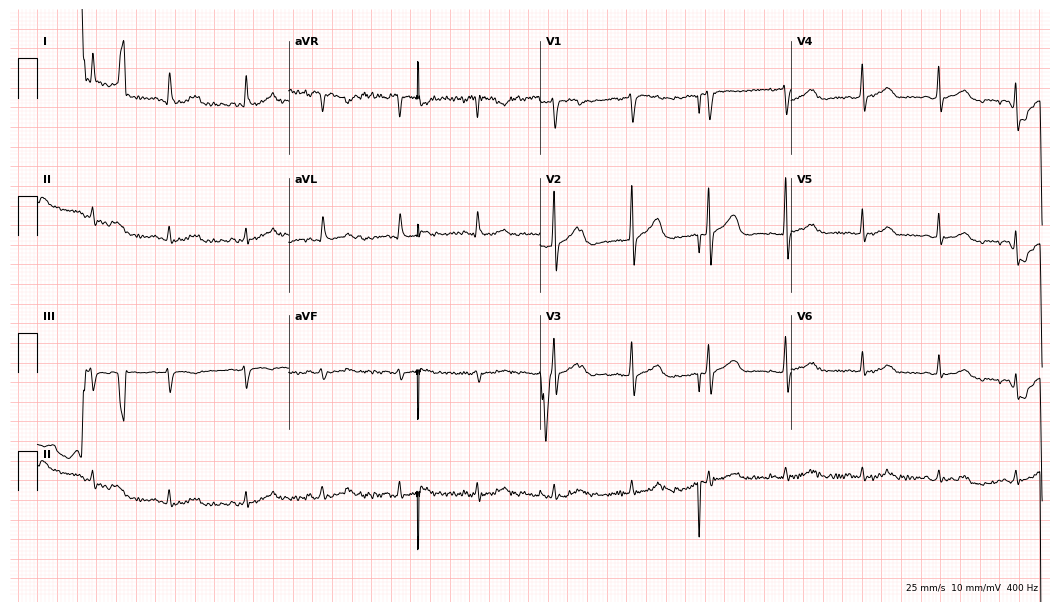
Resting 12-lead electrocardiogram. Patient: a man, 79 years old. None of these six findings is recorded: first-degree AV block, right bundle branch block, left bundle branch block, sinus bradycardia, atrial fibrillation, sinus tachycardia.